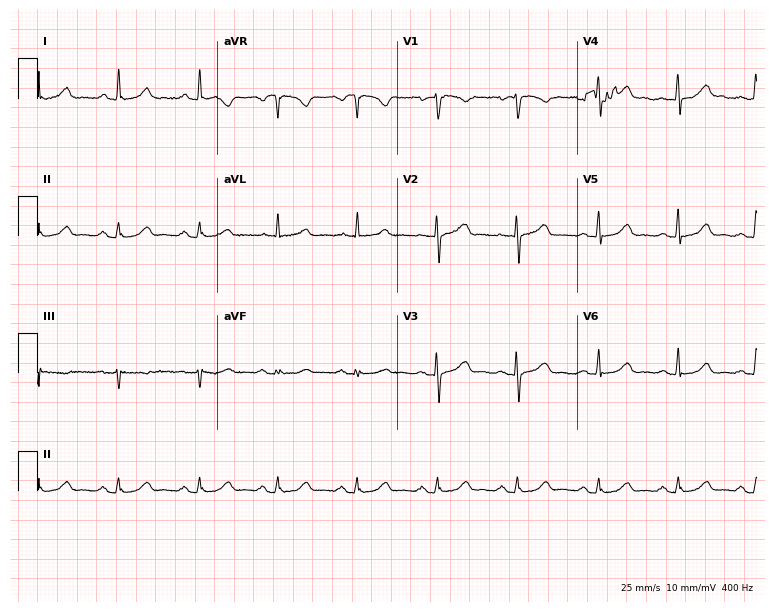
12-lead ECG from a female patient, 44 years old (7.3-second recording at 400 Hz). Recorded interpretation: within normal limits.